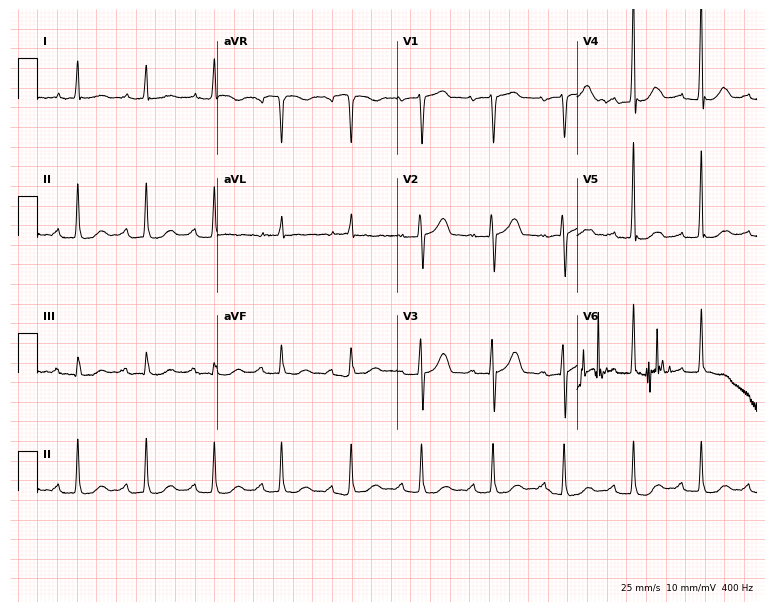
Standard 12-lead ECG recorded from a male, 81 years old (7.3-second recording at 400 Hz). The tracing shows first-degree AV block.